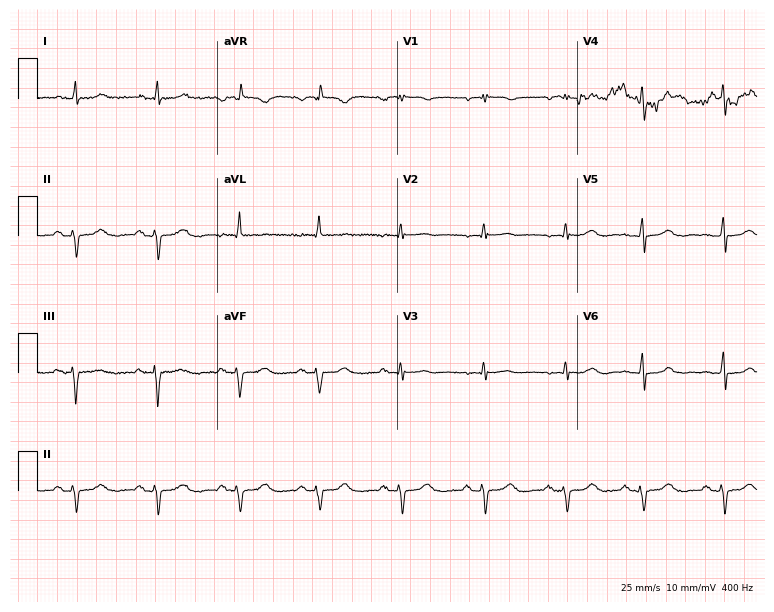
Electrocardiogram, a woman, 66 years old. Of the six screened findings (first-degree AV block, right bundle branch block, left bundle branch block, sinus bradycardia, atrial fibrillation, sinus tachycardia), none is recorded. Findings outside these six are not listed.